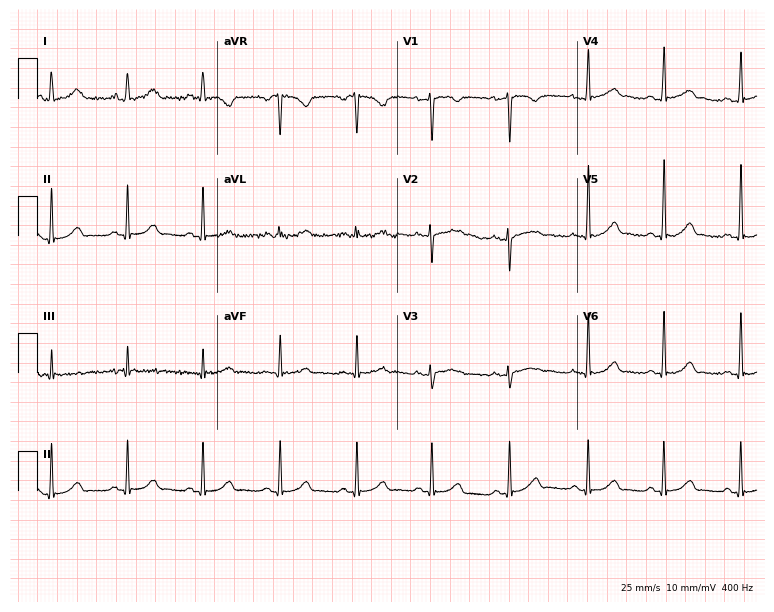
Standard 12-lead ECG recorded from a 31-year-old female patient (7.3-second recording at 400 Hz). Read as a normal ECG.